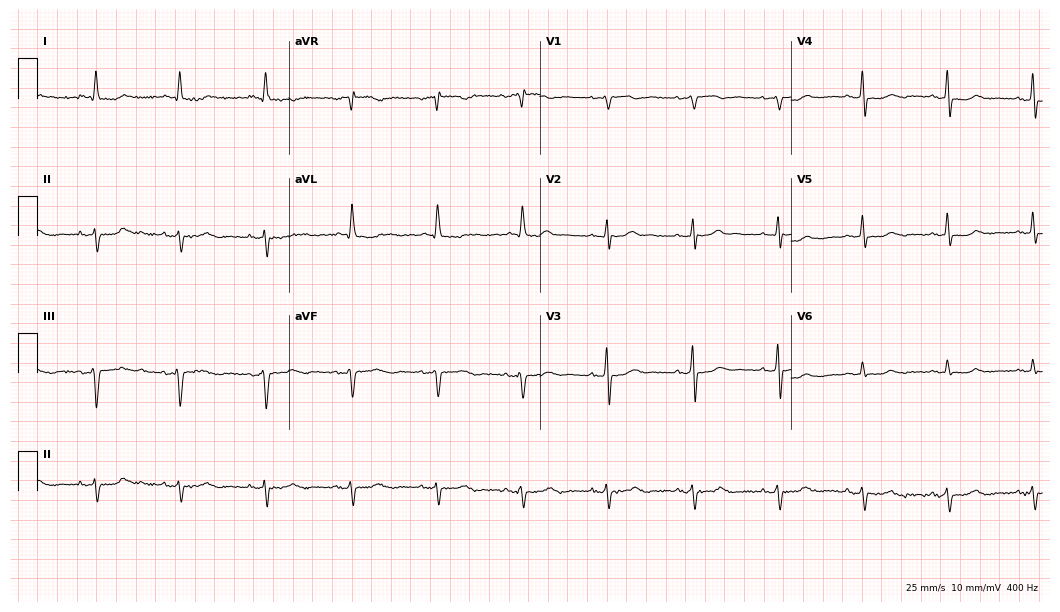
Standard 12-lead ECG recorded from a 72-year-old woman (10.2-second recording at 400 Hz). None of these six findings is recorded: first-degree AV block, right bundle branch block, left bundle branch block, sinus bradycardia, atrial fibrillation, sinus tachycardia. Other findings, if any, are not listed.